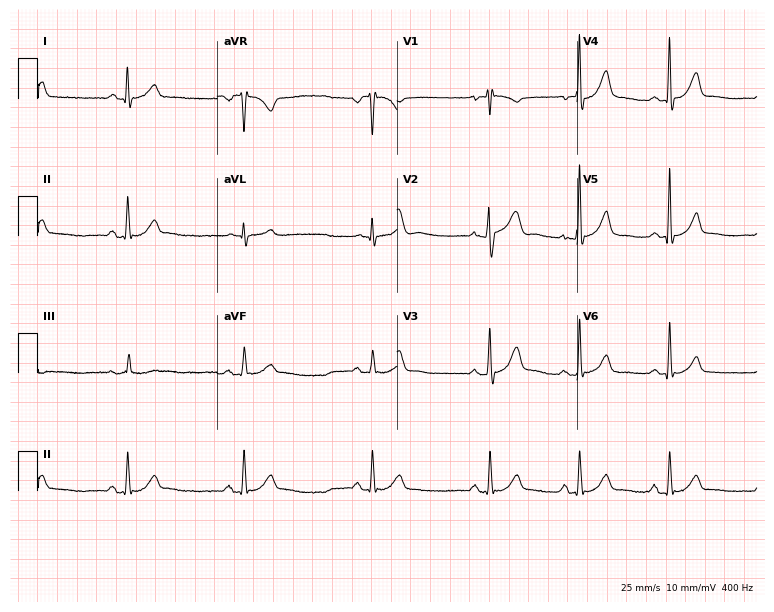
ECG — a 37-year-old male patient. Screened for six findings — first-degree AV block, right bundle branch block (RBBB), left bundle branch block (LBBB), sinus bradycardia, atrial fibrillation (AF), sinus tachycardia — none is recorded. Findings outside these six are not listed.